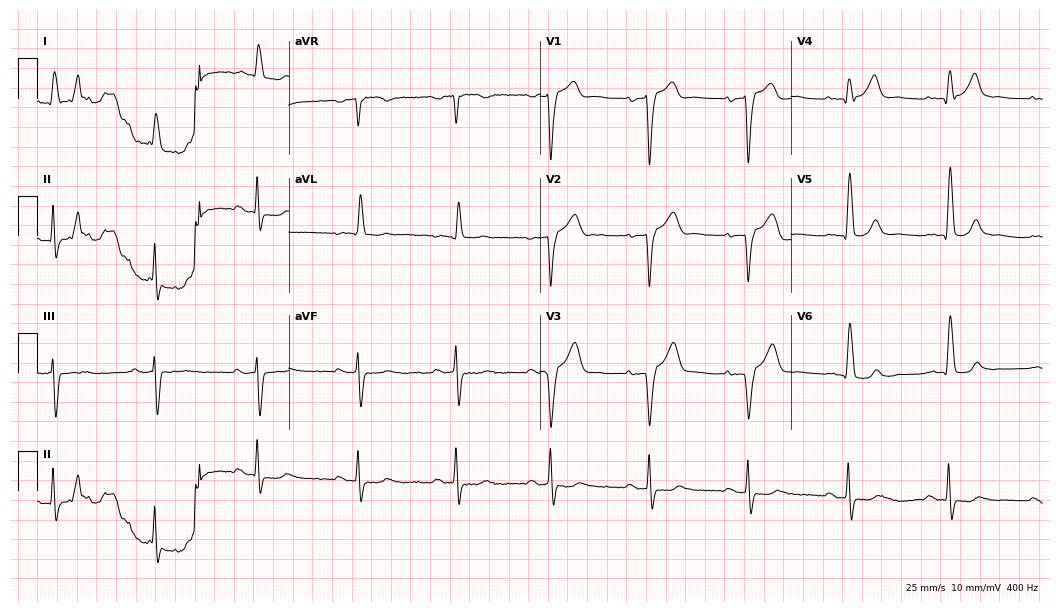
ECG — a 79-year-old male patient. Findings include left bundle branch block.